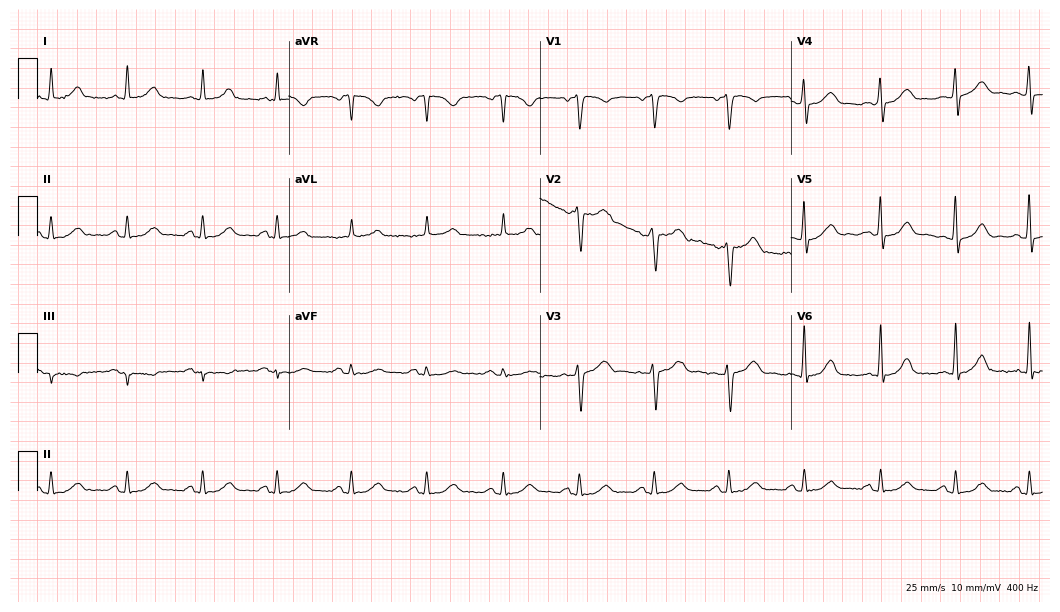
Standard 12-lead ECG recorded from a male, 57 years old. Read as a normal ECG.